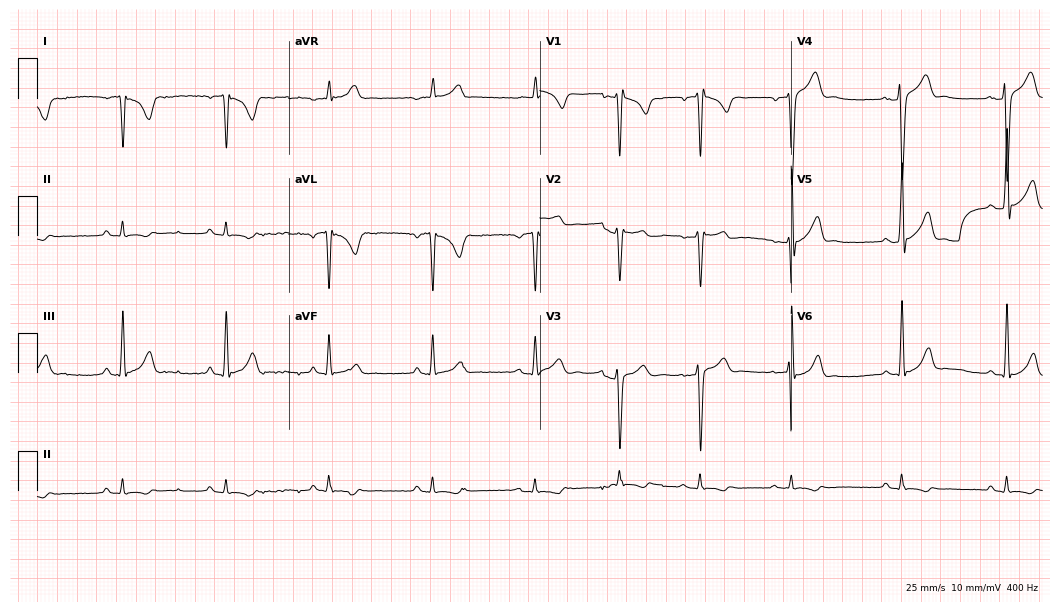
ECG — a 26-year-old male. Screened for six findings — first-degree AV block, right bundle branch block, left bundle branch block, sinus bradycardia, atrial fibrillation, sinus tachycardia — none is recorded. Other findings, if any, are not listed.